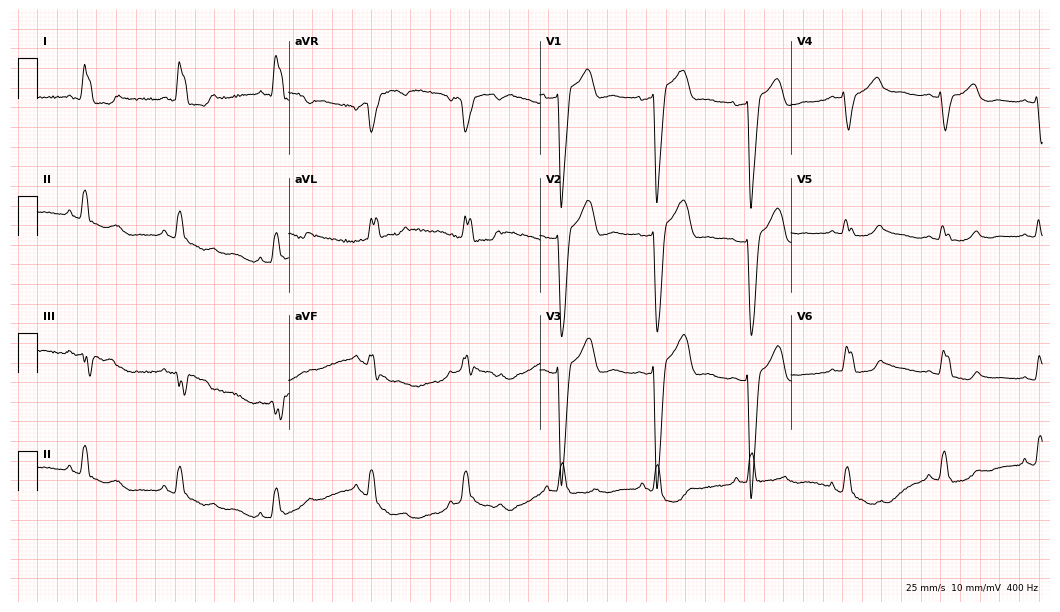
Electrocardiogram, a 58-year-old female. Of the six screened findings (first-degree AV block, right bundle branch block, left bundle branch block, sinus bradycardia, atrial fibrillation, sinus tachycardia), none is recorded. Only these six findings were labelled.